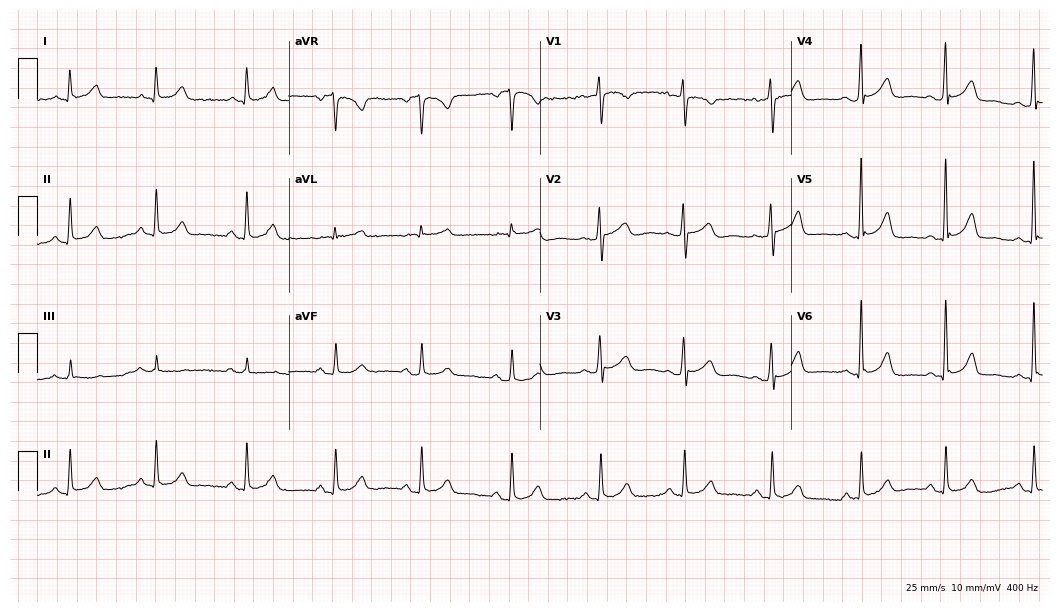
12-lead ECG (10.2-second recording at 400 Hz) from a woman, 53 years old. Labelled as a normal ECG.